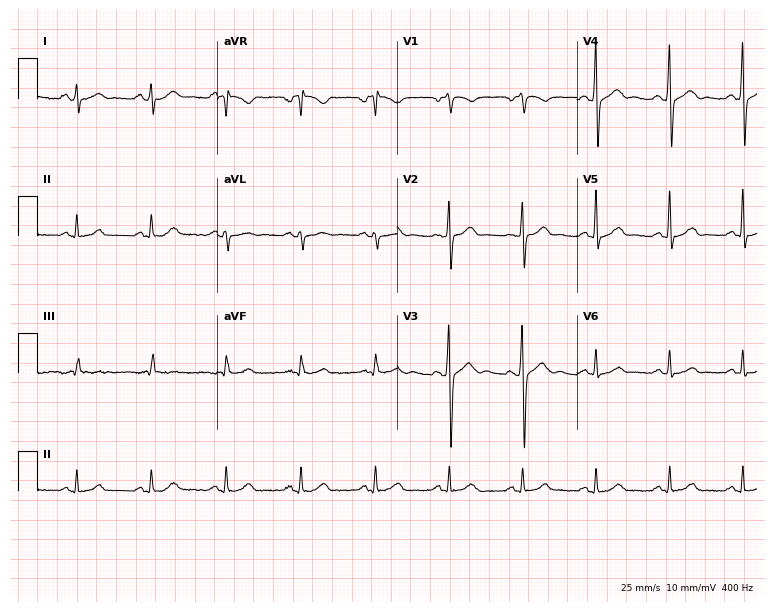
ECG (7.3-second recording at 400 Hz) — a male, 41 years old. Labelled as a normal ECG.